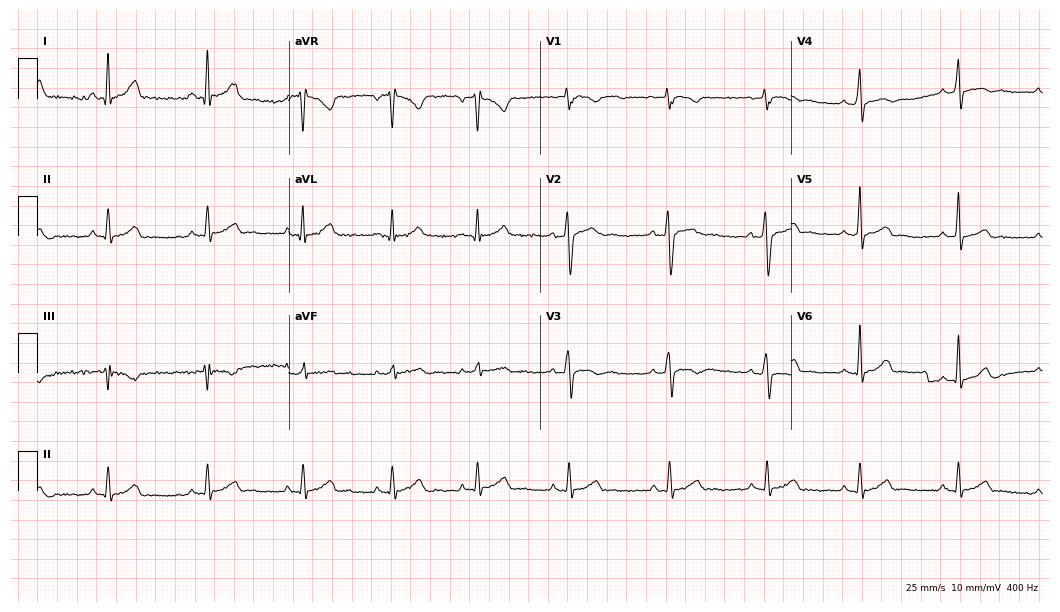
ECG — a 32-year-old male patient. Labelled as a normal ECG.